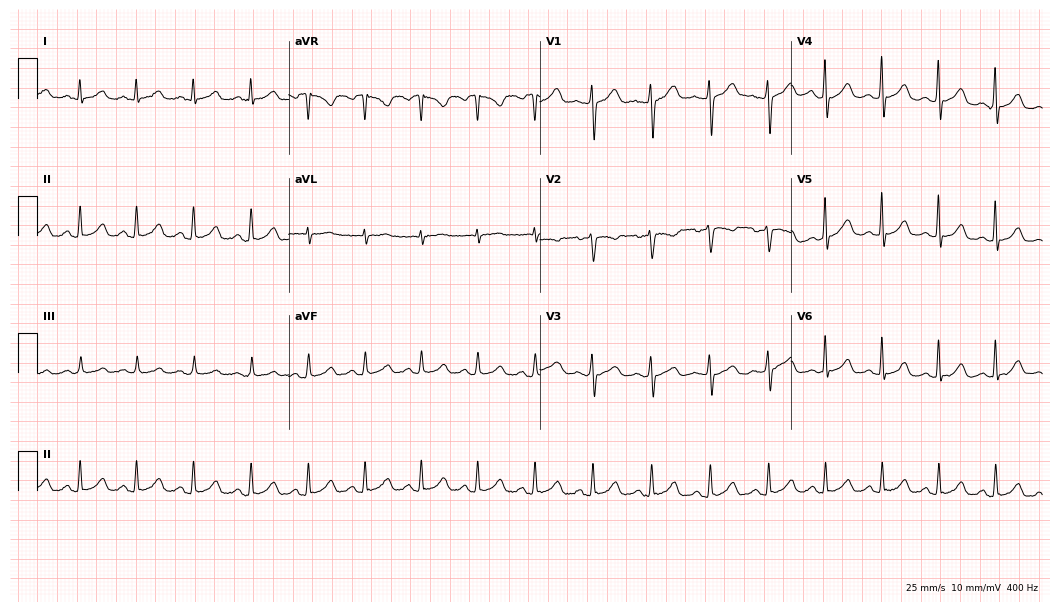
12-lead ECG (10.2-second recording at 400 Hz) from a 42-year-old woman. Findings include sinus tachycardia (a sinus rate of 100 beats per minute or more).